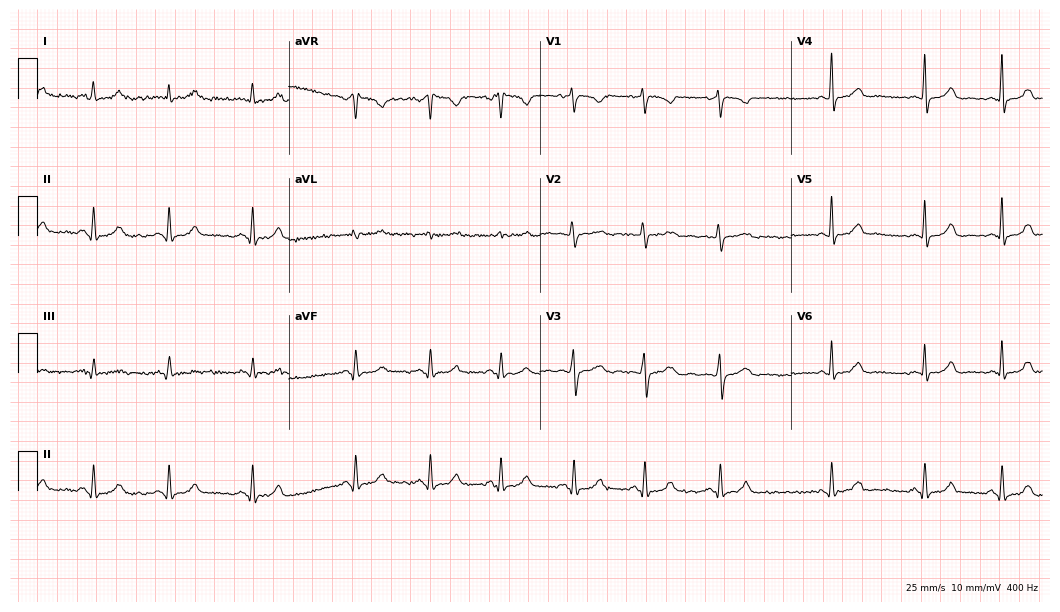
Standard 12-lead ECG recorded from a woman, 22 years old (10.2-second recording at 400 Hz). Read as a normal ECG.